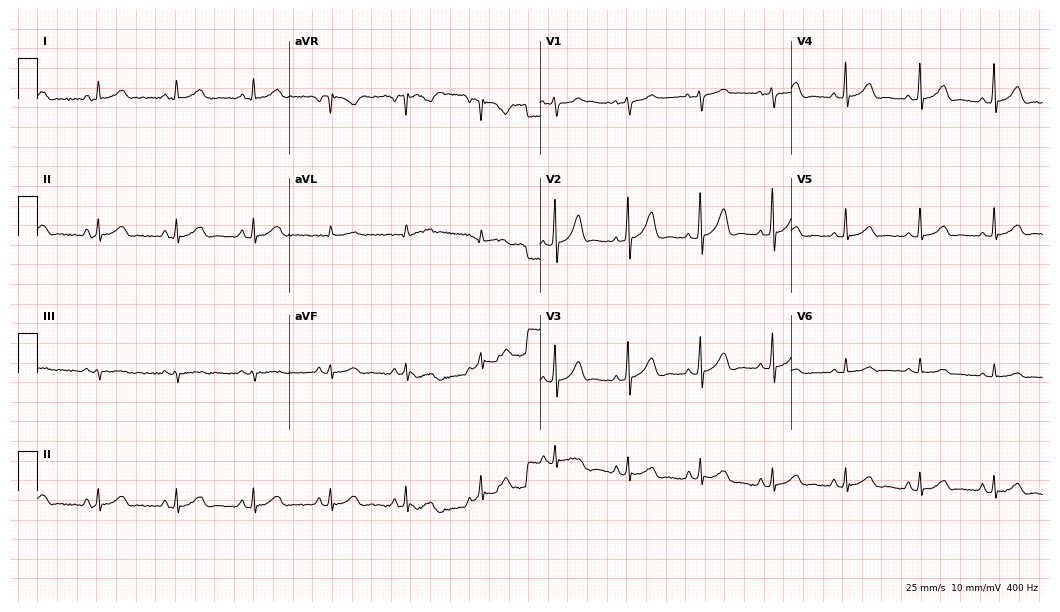
Standard 12-lead ECG recorded from a male, 59 years old. None of these six findings is recorded: first-degree AV block, right bundle branch block (RBBB), left bundle branch block (LBBB), sinus bradycardia, atrial fibrillation (AF), sinus tachycardia. Other findings, if any, are not listed.